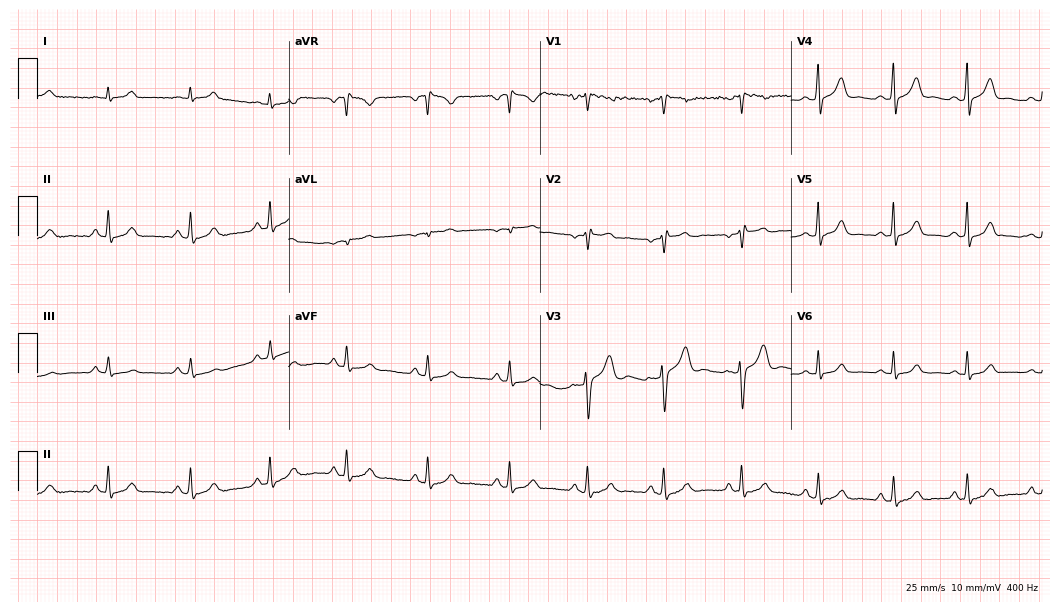
ECG — a woman, 37 years old. Labelled as a normal ECG.